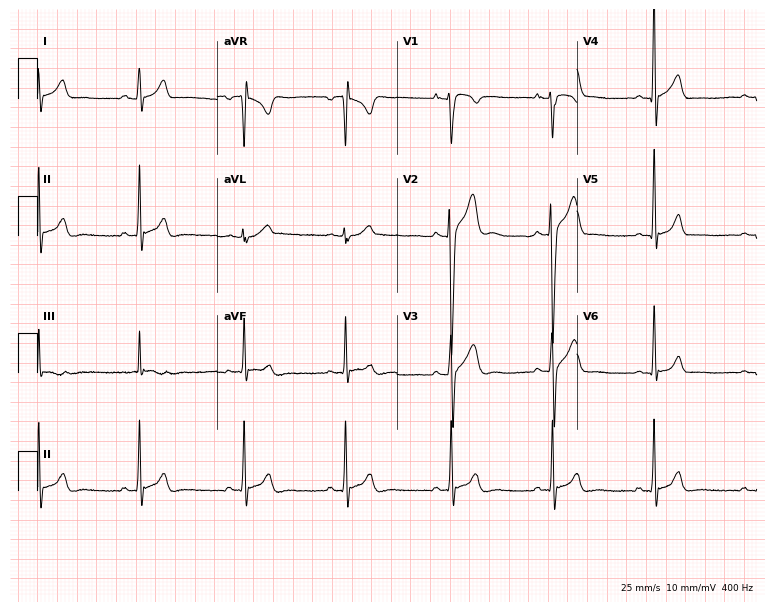
Electrocardiogram, a 36-year-old male patient. Of the six screened findings (first-degree AV block, right bundle branch block, left bundle branch block, sinus bradycardia, atrial fibrillation, sinus tachycardia), none is recorded.